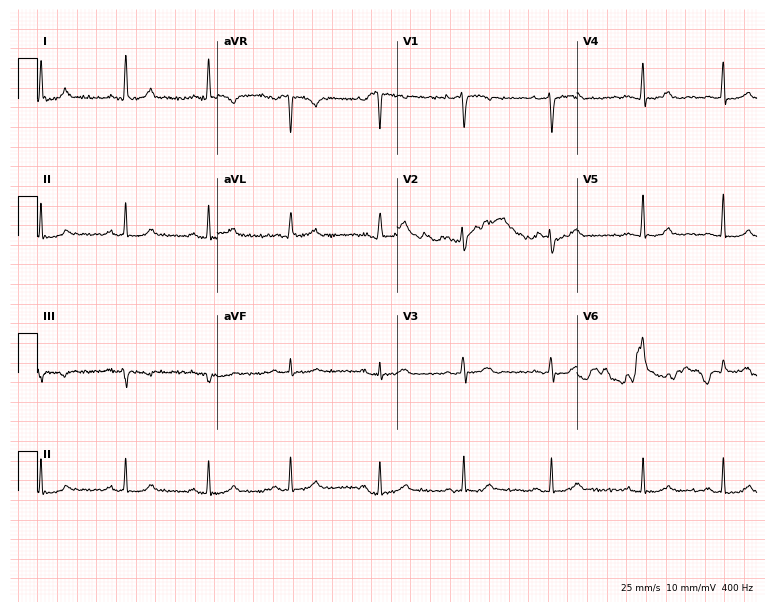
ECG — a female, 37 years old. Screened for six findings — first-degree AV block, right bundle branch block (RBBB), left bundle branch block (LBBB), sinus bradycardia, atrial fibrillation (AF), sinus tachycardia — none is recorded. Only these six findings were labelled.